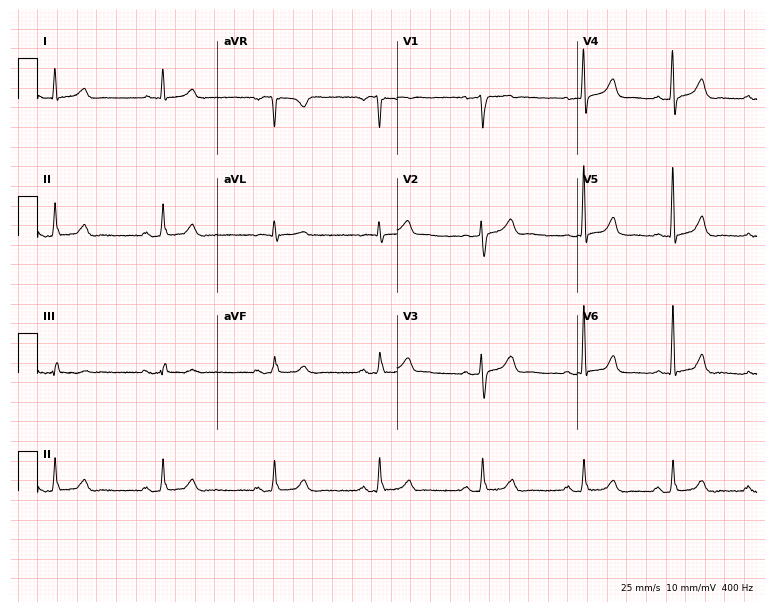
Electrocardiogram, a 61-year-old man. Of the six screened findings (first-degree AV block, right bundle branch block, left bundle branch block, sinus bradycardia, atrial fibrillation, sinus tachycardia), none is recorded.